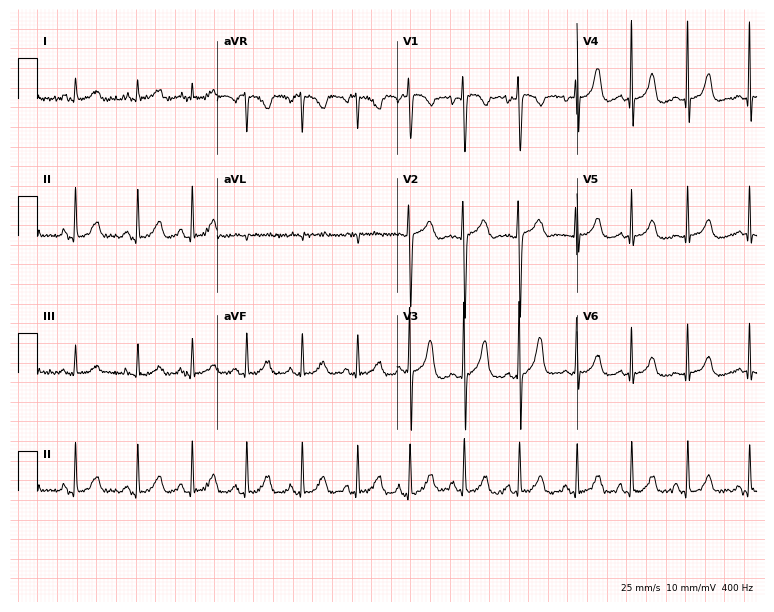
ECG (7.3-second recording at 400 Hz) — a 32-year-old female. Findings include sinus tachycardia (a sinus rate of 100 beats per minute or more).